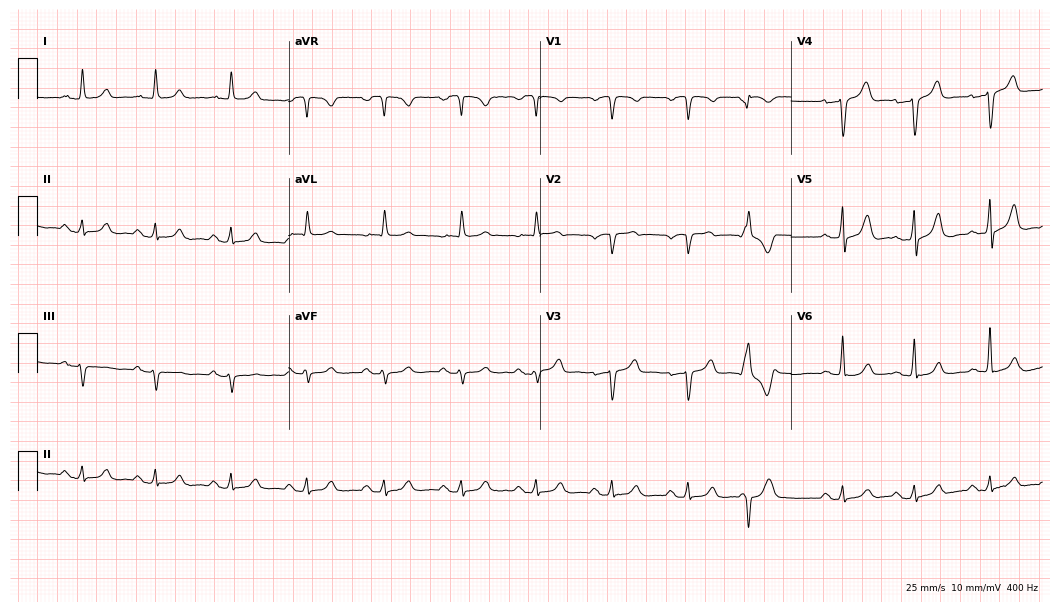
12-lead ECG from a man, 80 years old. No first-degree AV block, right bundle branch block (RBBB), left bundle branch block (LBBB), sinus bradycardia, atrial fibrillation (AF) or sinus tachycardia recorded for this tracing. Other findings, if any, are not listed.